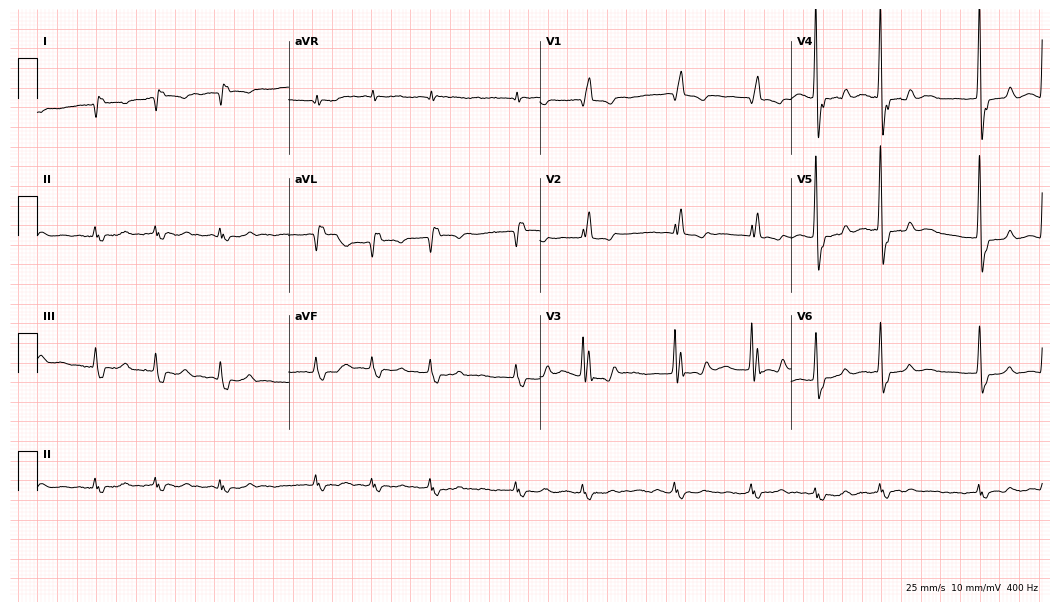
Standard 12-lead ECG recorded from an 82-year-old female patient. None of these six findings is recorded: first-degree AV block, right bundle branch block, left bundle branch block, sinus bradycardia, atrial fibrillation, sinus tachycardia.